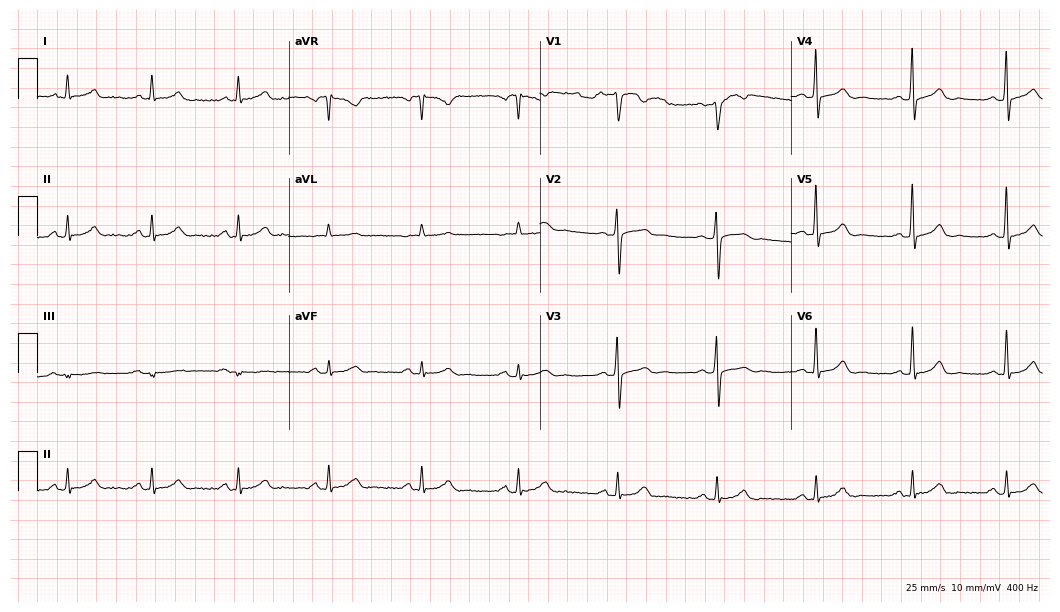
12-lead ECG from a woman, 60 years old. Screened for six findings — first-degree AV block, right bundle branch block, left bundle branch block, sinus bradycardia, atrial fibrillation, sinus tachycardia — none is recorded.